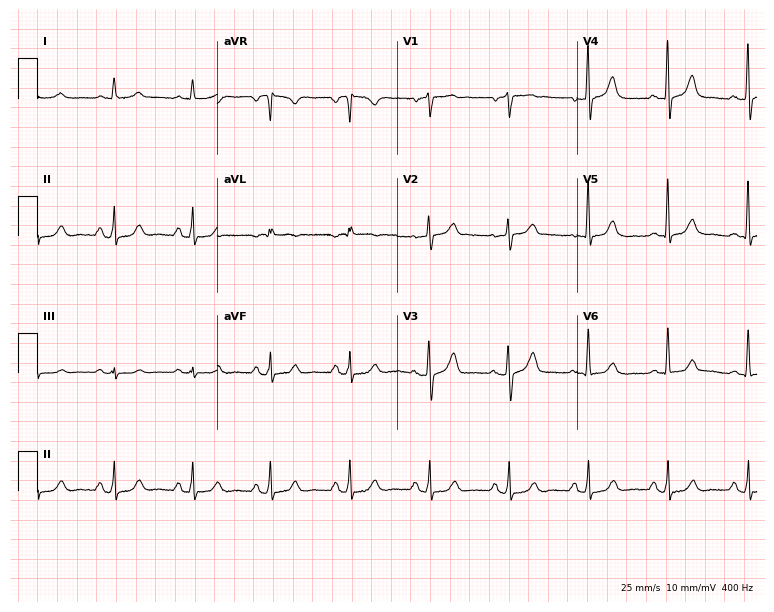
12-lead ECG (7.3-second recording at 400 Hz) from an 82-year-old man. Screened for six findings — first-degree AV block, right bundle branch block (RBBB), left bundle branch block (LBBB), sinus bradycardia, atrial fibrillation (AF), sinus tachycardia — none is recorded. Findings outside these six are not listed.